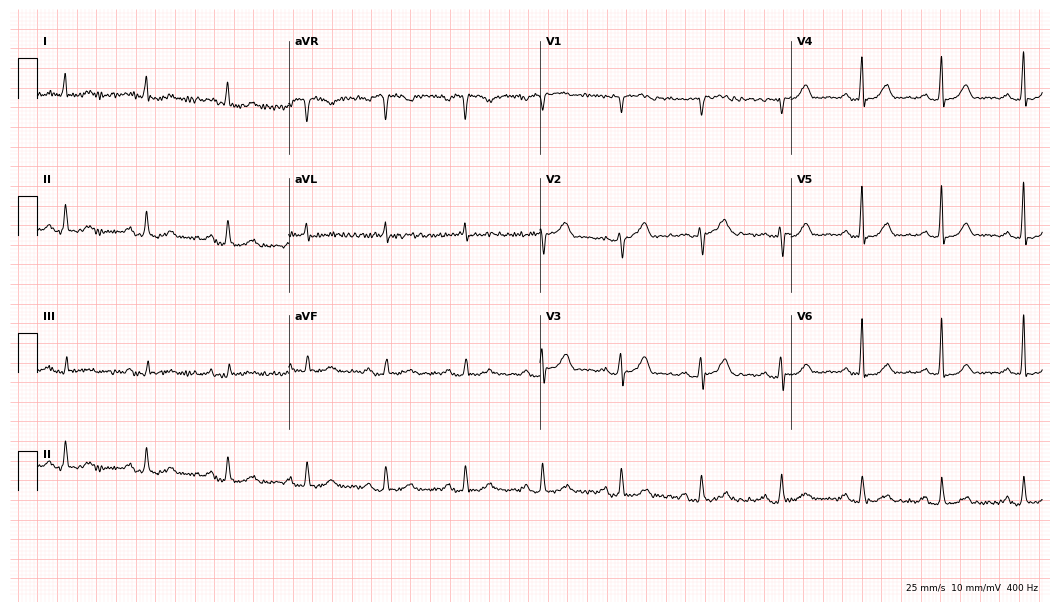
12-lead ECG from a woman, 67 years old. Labelled as a normal ECG.